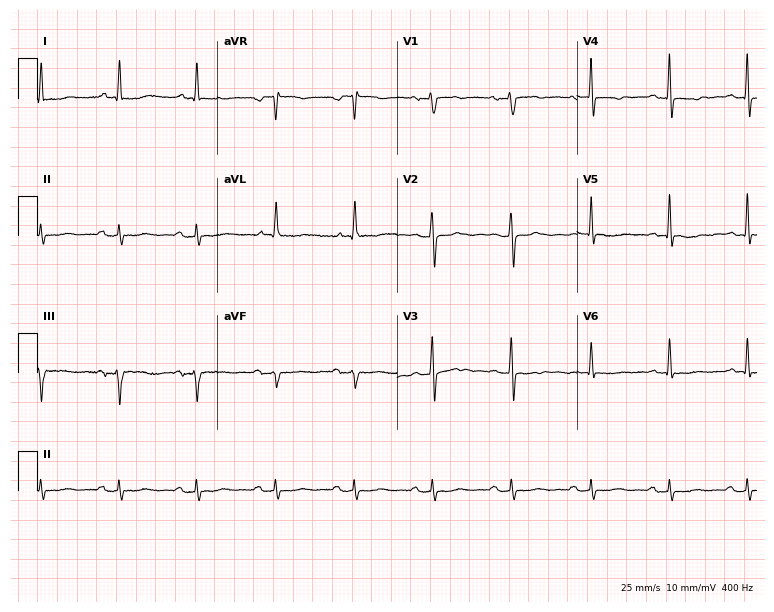
12-lead ECG (7.3-second recording at 400 Hz) from a woman, 79 years old. Screened for six findings — first-degree AV block, right bundle branch block, left bundle branch block, sinus bradycardia, atrial fibrillation, sinus tachycardia — none is recorded.